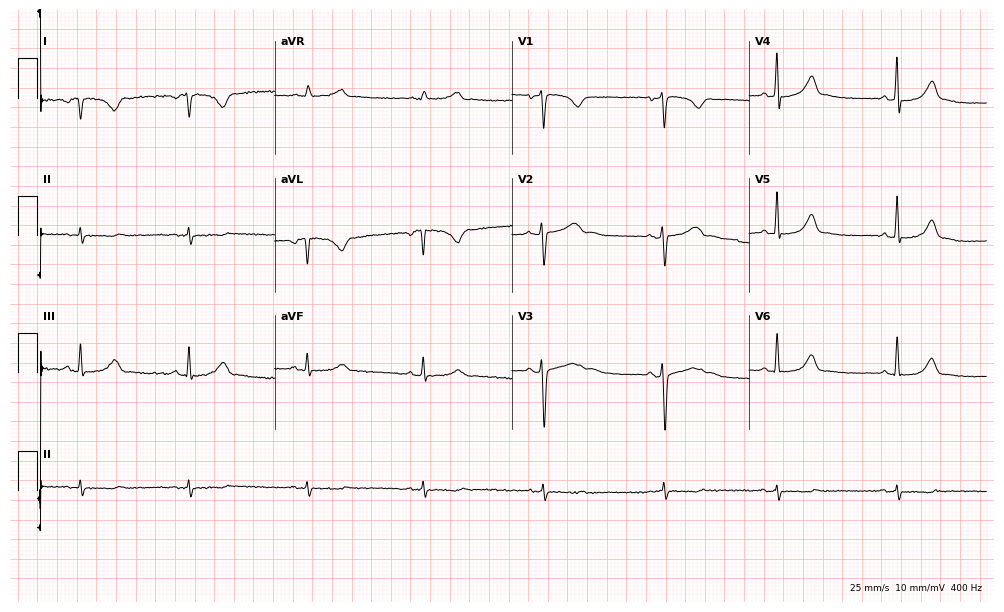
12-lead ECG from a 40-year-old female. No first-degree AV block, right bundle branch block, left bundle branch block, sinus bradycardia, atrial fibrillation or sinus tachycardia recorded for this tracing. Findings outside these six are not listed.